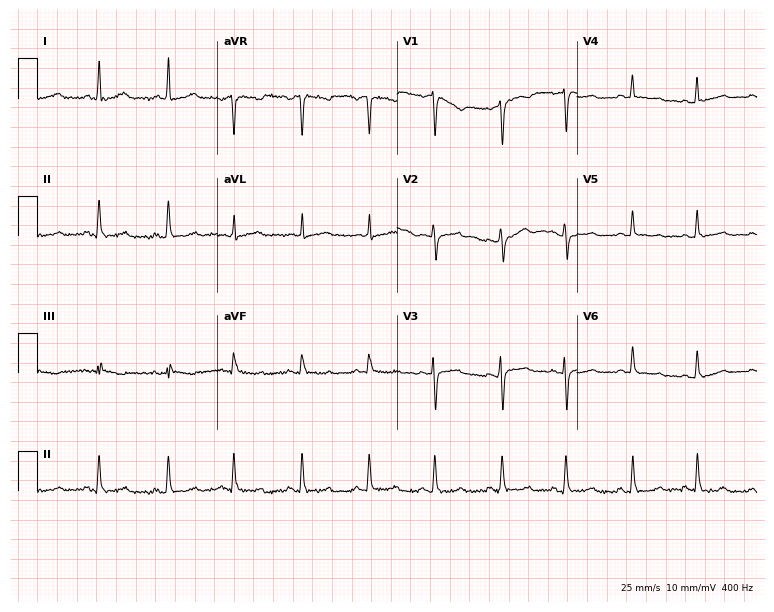
Resting 12-lead electrocardiogram. Patient: a 37-year-old female. Read as a normal ECG.